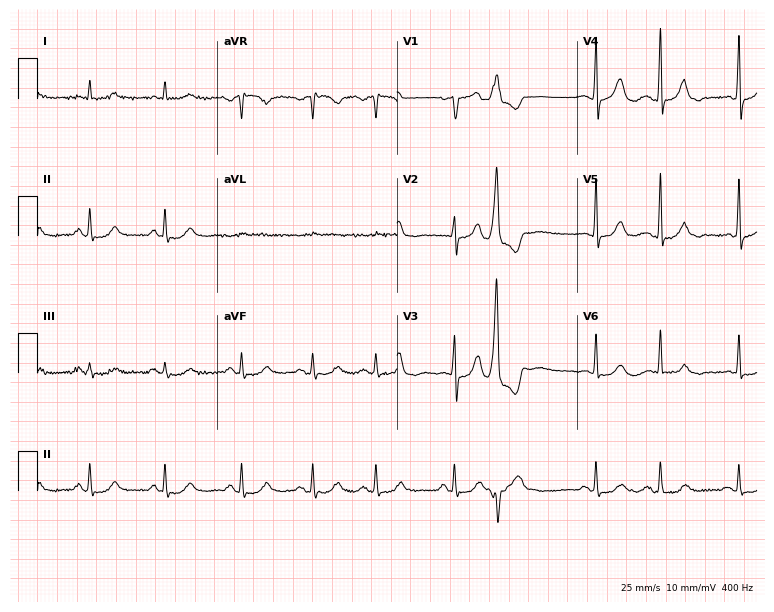
12-lead ECG from a 74-year-old man (7.3-second recording at 400 Hz). No first-degree AV block, right bundle branch block (RBBB), left bundle branch block (LBBB), sinus bradycardia, atrial fibrillation (AF) or sinus tachycardia recorded for this tracing.